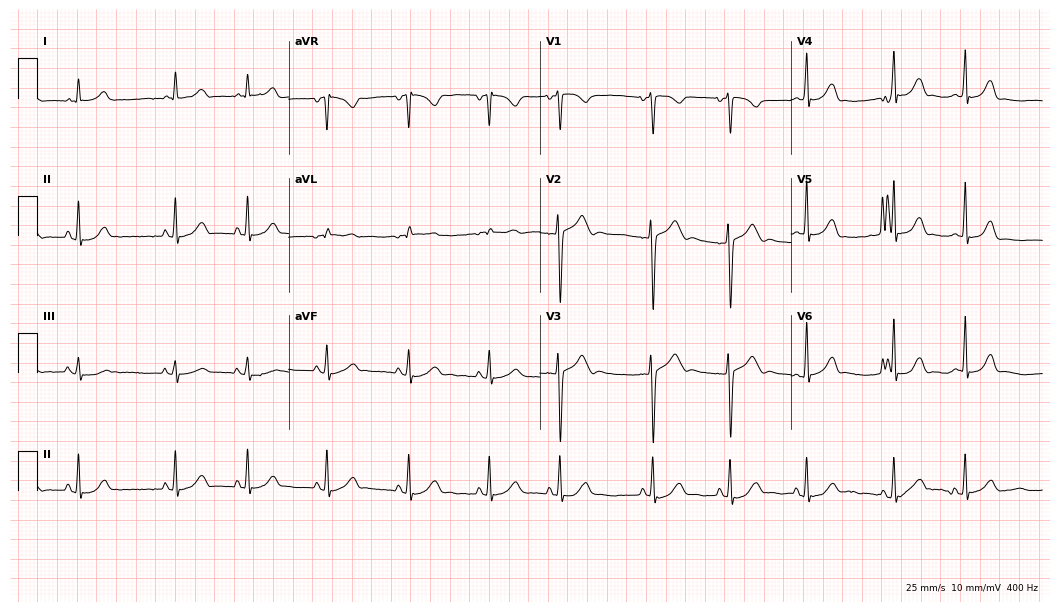
Resting 12-lead electrocardiogram (10.2-second recording at 400 Hz). Patient: a 17-year-old female. Read as a normal ECG.